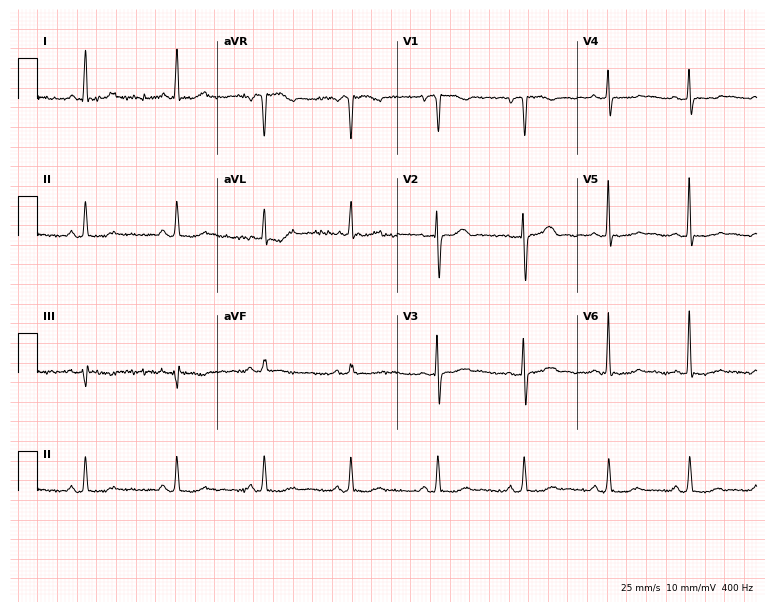
12-lead ECG from a 49-year-old female patient. No first-degree AV block, right bundle branch block, left bundle branch block, sinus bradycardia, atrial fibrillation or sinus tachycardia recorded for this tracing.